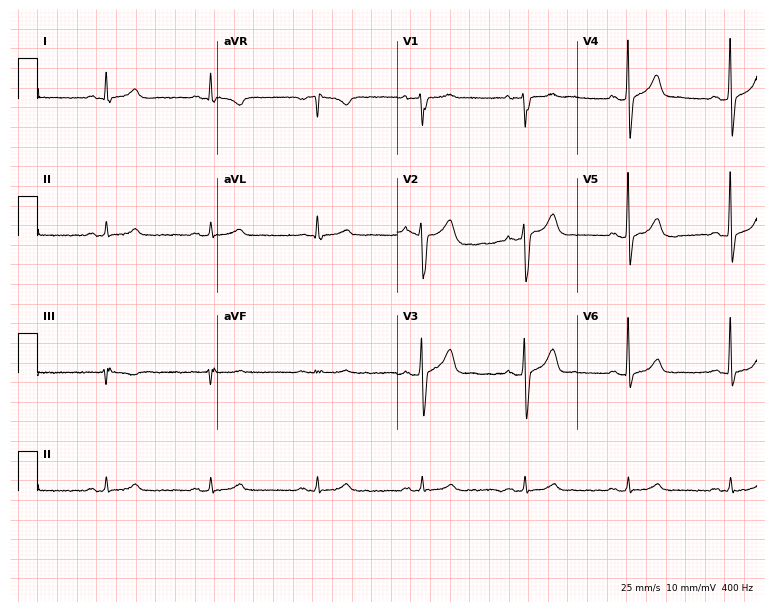
Electrocardiogram, a male, 45 years old. Of the six screened findings (first-degree AV block, right bundle branch block, left bundle branch block, sinus bradycardia, atrial fibrillation, sinus tachycardia), none is recorded.